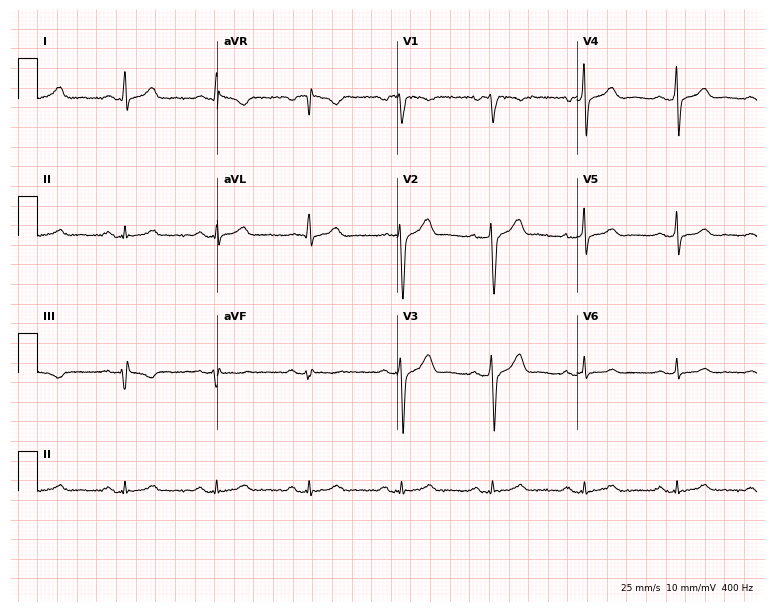
Resting 12-lead electrocardiogram. Patient: a 41-year-old male. None of these six findings is recorded: first-degree AV block, right bundle branch block, left bundle branch block, sinus bradycardia, atrial fibrillation, sinus tachycardia. Findings outside these six are not listed.